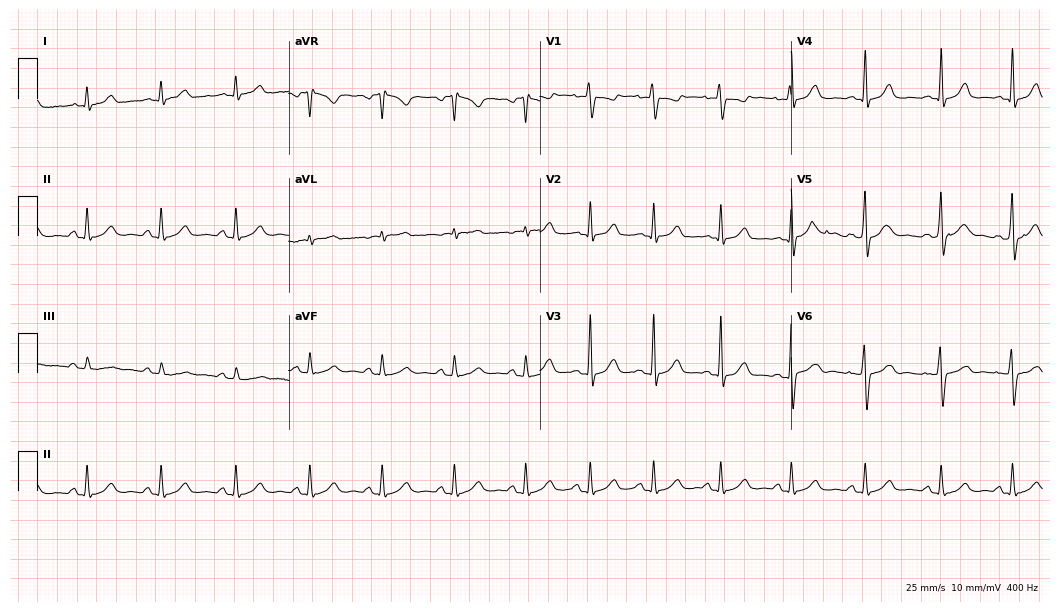
Resting 12-lead electrocardiogram (10.2-second recording at 400 Hz). Patient: a 28-year-old woman. Read as a normal ECG.